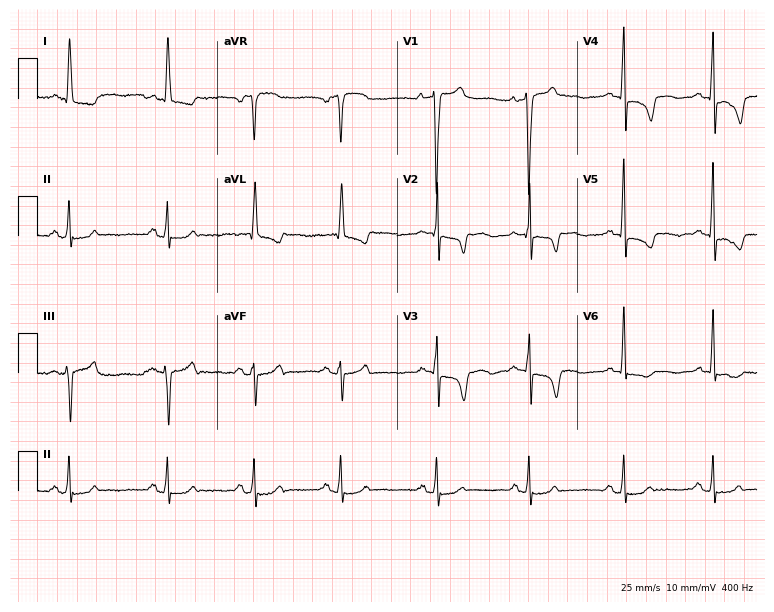
12-lead ECG from a woman, 82 years old (7.3-second recording at 400 Hz). No first-degree AV block, right bundle branch block, left bundle branch block, sinus bradycardia, atrial fibrillation or sinus tachycardia recorded for this tracing.